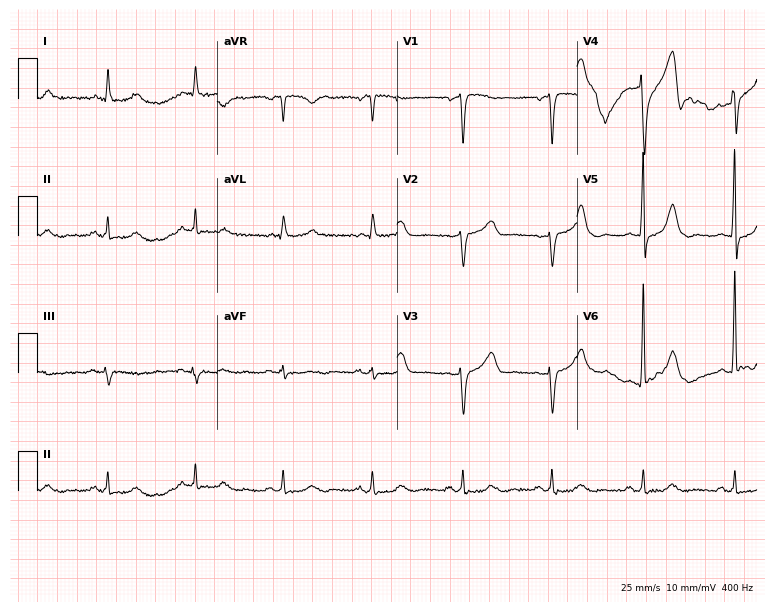
ECG (7.3-second recording at 400 Hz) — a woman, 63 years old. Screened for six findings — first-degree AV block, right bundle branch block (RBBB), left bundle branch block (LBBB), sinus bradycardia, atrial fibrillation (AF), sinus tachycardia — none is recorded. Other findings, if any, are not listed.